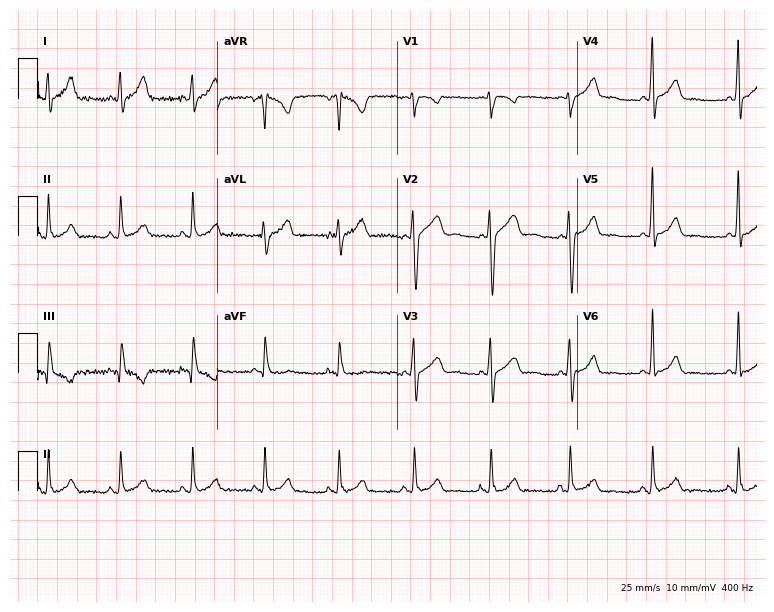
12-lead ECG from a male, 36 years old. Recorded interpretation: within normal limits.